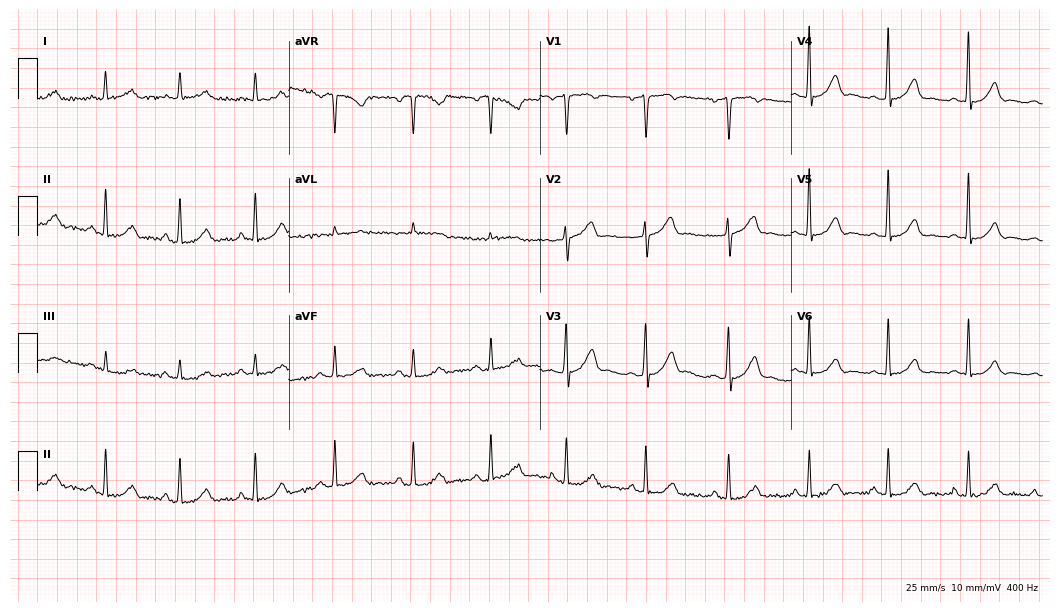
ECG (10.2-second recording at 400 Hz) — a 47-year-old man. Labelled as a normal ECG.